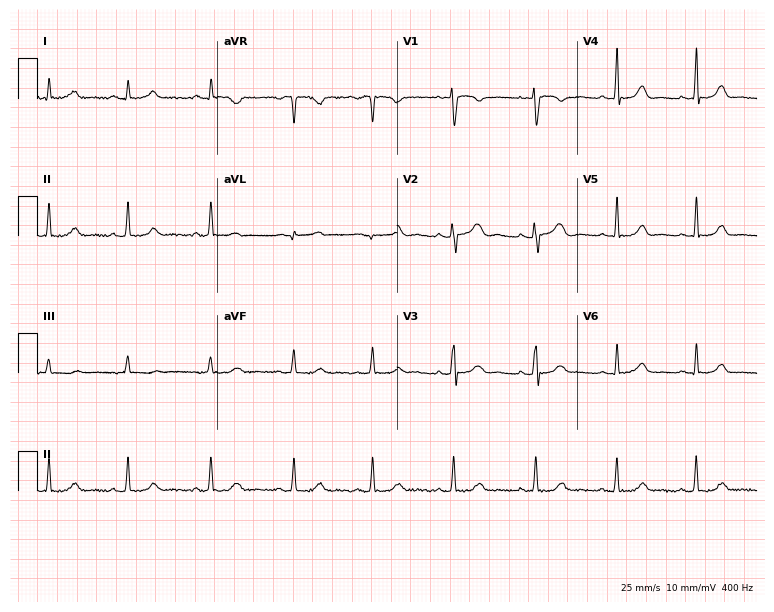
ECG — a woman, 28 years old. Labelled as a normal ECG.